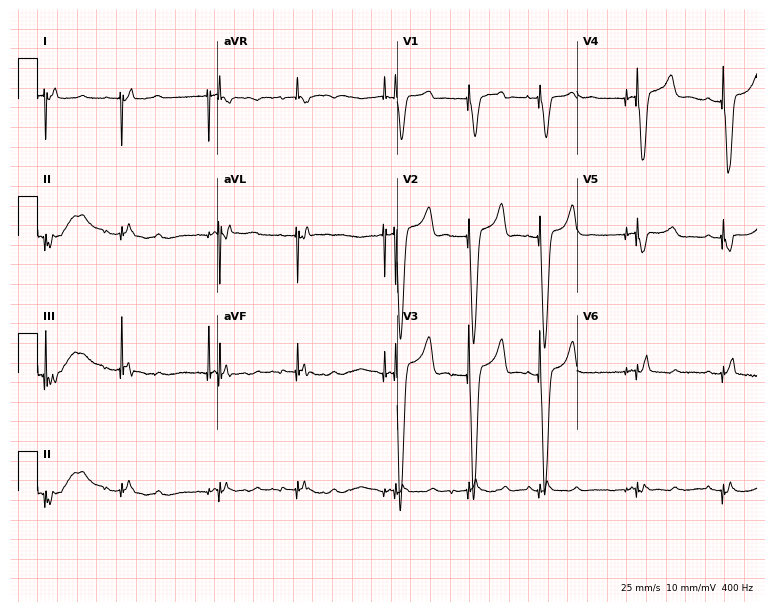
12-lead ECG from a woman, 46 years old. Screened for six findings — first-degree AV block, right bundle branch block, left bundle branch block, sinus bradycardia, atrial fibrillation, sinus tachycardia — none is recorded. Other findings, if any, are not listed.